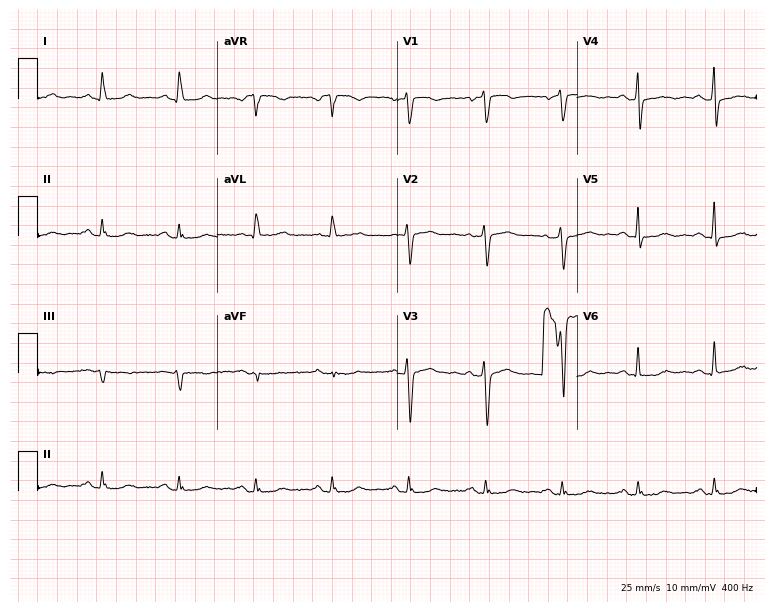
Electrocardiogram (7.3-second recording at 400 Hz), a 68-year-old woman. Of the six screened findings (first-degree AV block, right bundle branch block, left bundle branch block, sinus bradycardia, atrial fibrillation, sinus tachycardia), none is recorded.